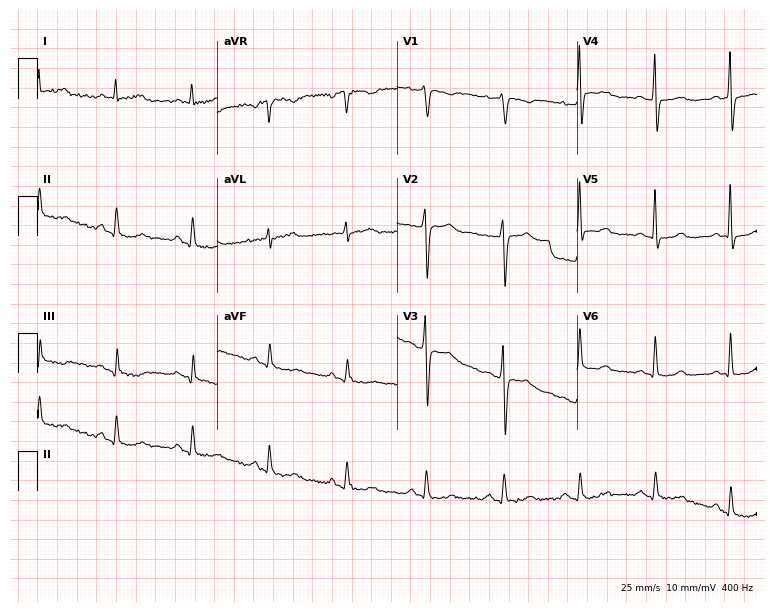
ECG (7.3-second recording at 400 Hz) — a male, 40 years old. Screened for six findings — first-degree AV block, right bundle branch block, left bundle branch block, sinus bradycardia, atrial fibrillation, sinus tachycardia — none is recorded. Findings outside these six are not listed.